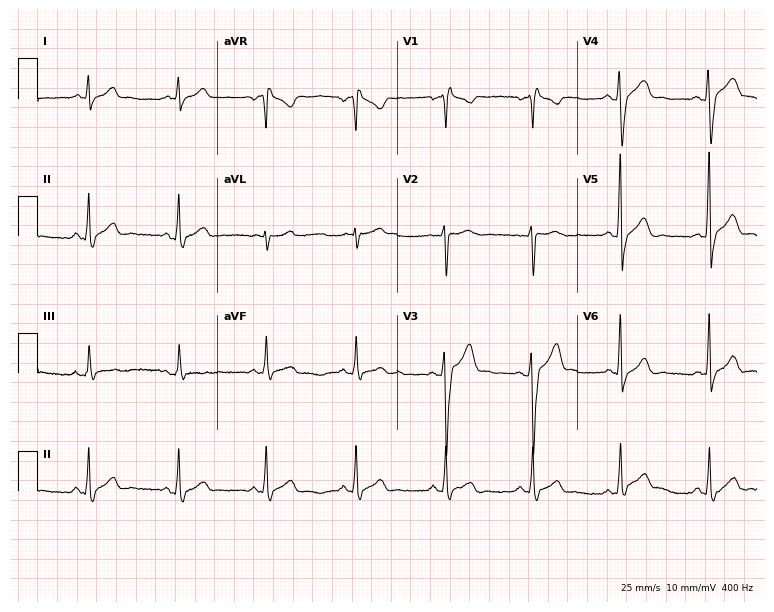
Electrocardiogram, a 29-year-old male. Of the six screened findings (first-degree AV block, right bundle branch block, left bundle branch block, sinus bradycardia, atrial fibrillation, sinus tachycardia), none is recorded. Only these six findings were labelled.